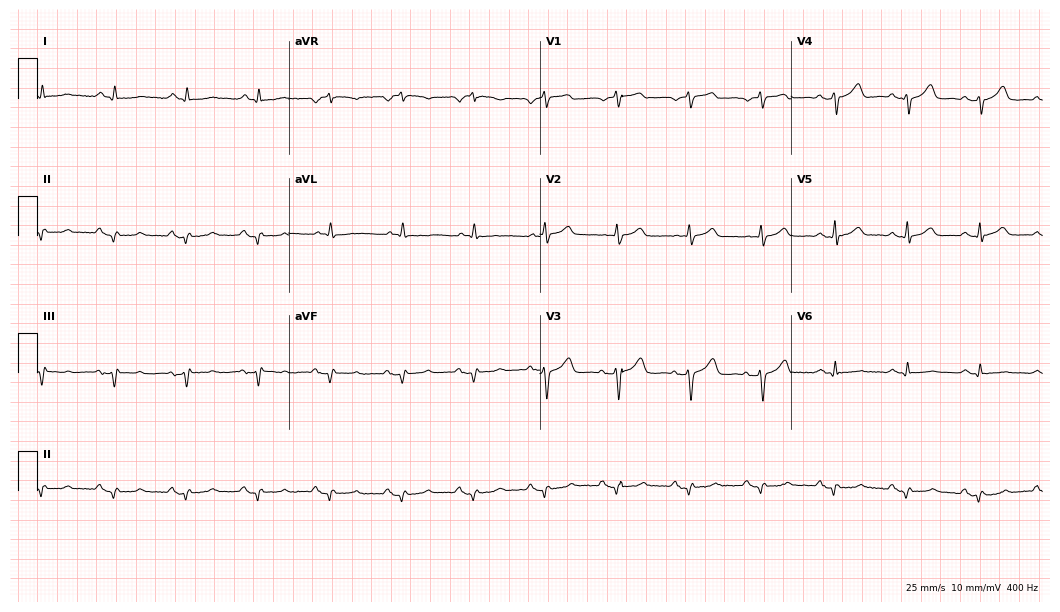
Electrocardiogram (10.2-second recording at 400 Hz), a man, 62 years old. Of the six screened findings (first-degree AV block, right bundle branch block (RBBB), left bundle branch block (LBBB), sinus bradycardia, atrial fibrillation (AF), sinus tachycardia), none is recorded.